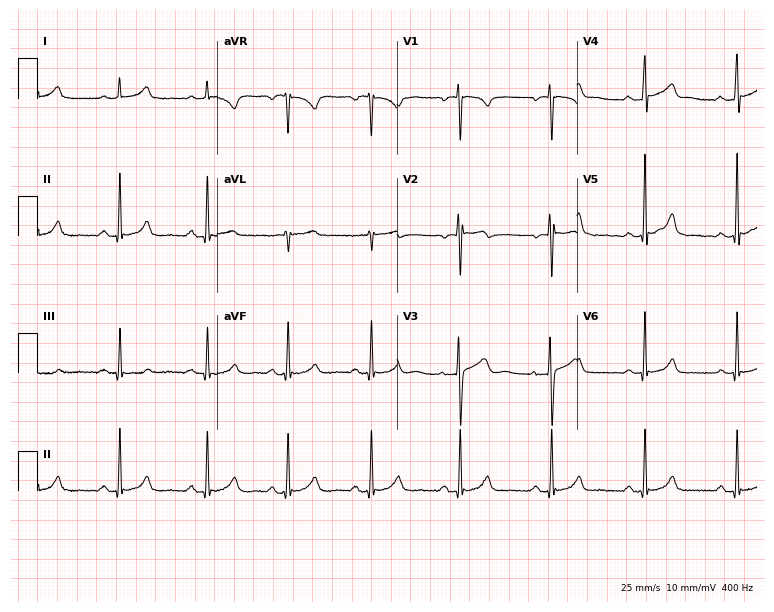
Electrocardiogram (7.3-second recording at 400 Hz), a woman, 32 years old. Overall reading on record: normal ECG.